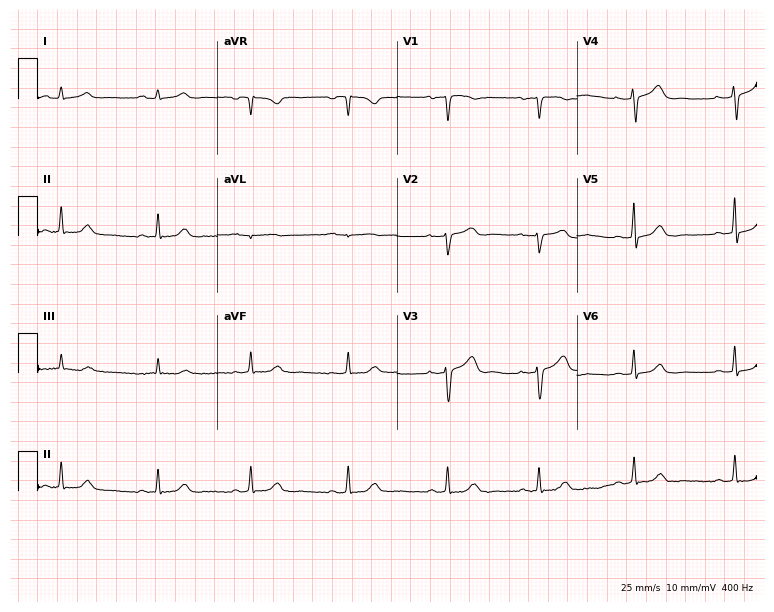
12-lead ECG from a woman, 43 years old. No first-degree AV block, right bundle branch block (RBBB), left bundle branch block (LBBB), sinus bradycardia, atrial fibrillation (AF) or sinus tachycardia recorded for this tracing. Only these six findings were labelled.